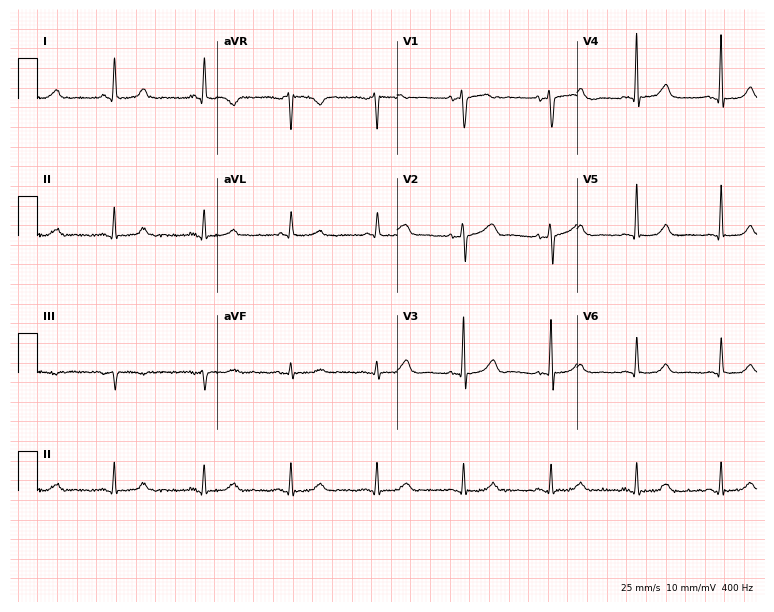
Resting 12-lead electrocardiogram (7.3-second recording at 400 Hz). Patient: a 56-year-old female. Read as a normal ECG.